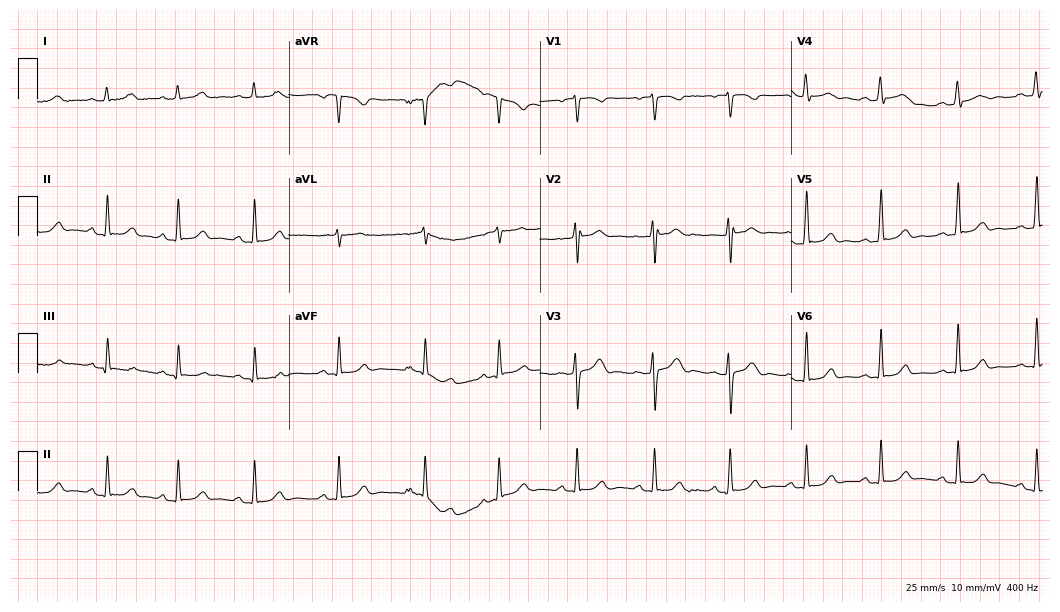
12-lead ECG (10.2-second recording at 400 Hz) from a female patient, 26 years old. Labelled as a normal ECG.